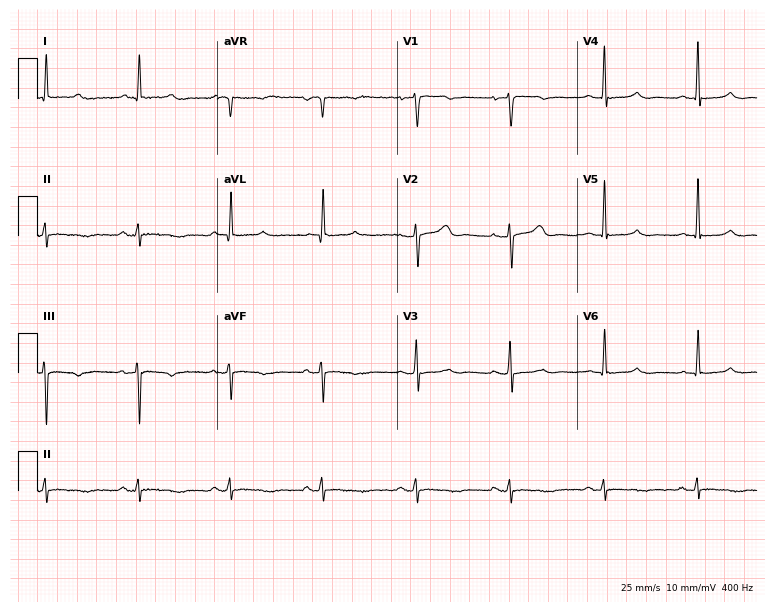
Electrocardiogram (7.3-second recording at 400 Hz), a female, 75 years old. Of the six screened findings (first-degree AV block, right bundle branch block, left bundle branch block, sinus bradycardia, atrial fibrillation, sinus tachycardia), none is recorded.